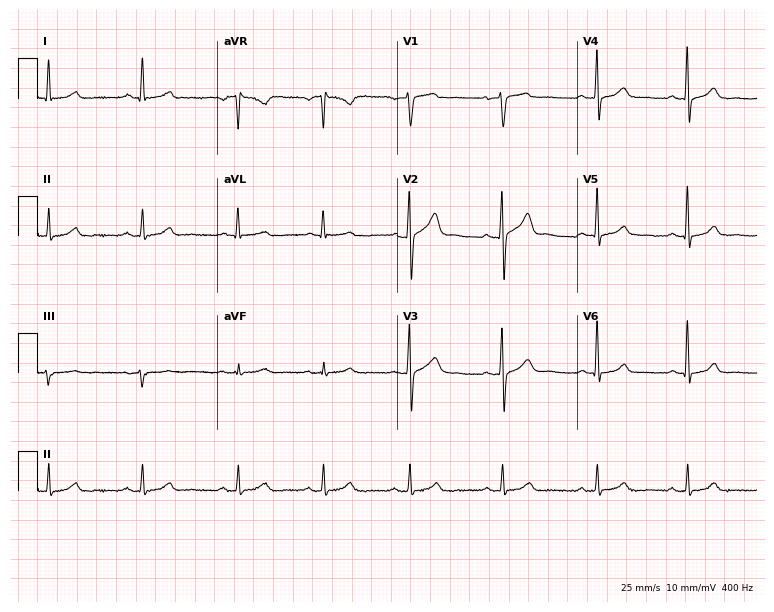
Standard 12-lead ECG recorded from a female, 41 years old. Read as a normal ECG.